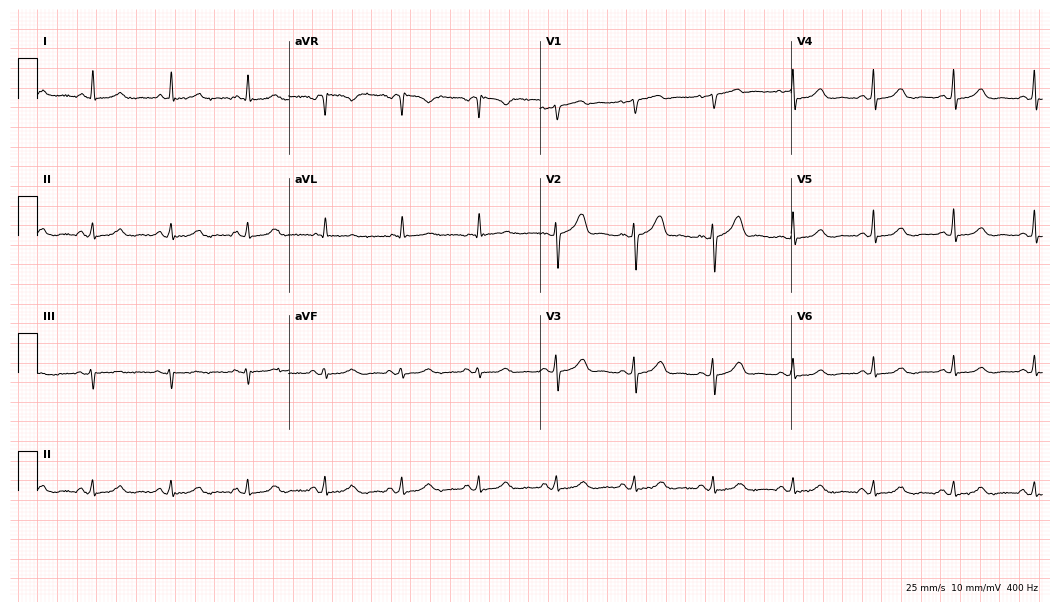
Standard 12-lead ECG recorded from a 71-year-old female patient. Read as a normal ECG.